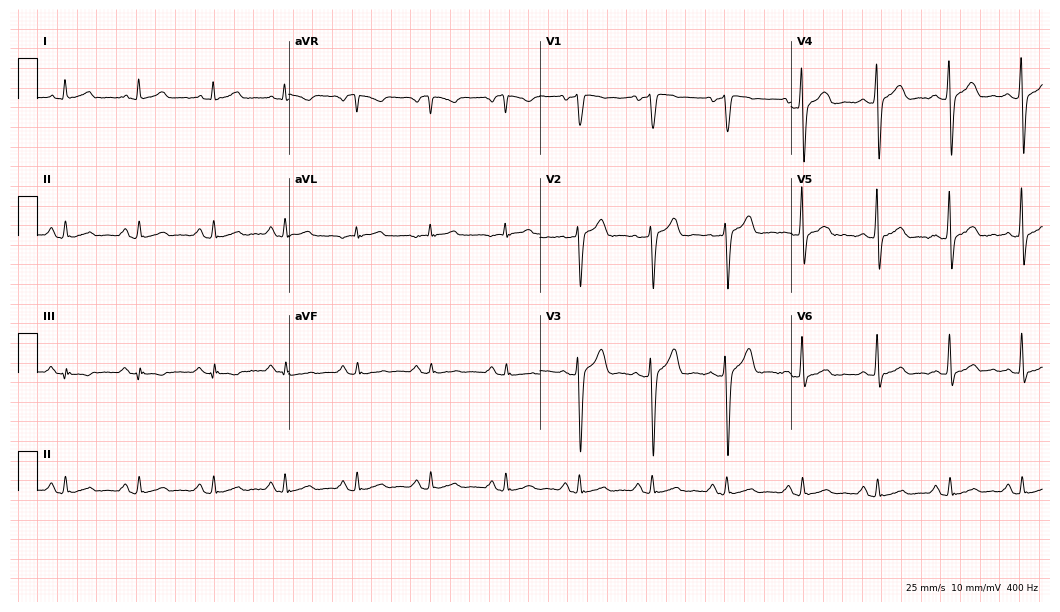
Electrocardiogram, a 50-year-old male. Overall reading on record: normal ECG.